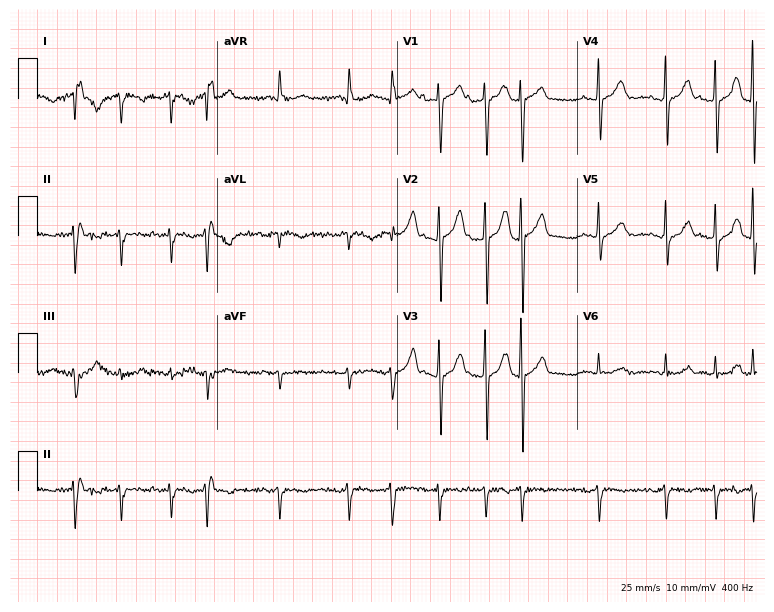
12-lead ECG (7.3-second recording at 400 Hz) from a 68-year-old man. Screened for six findings — first-degree AV block, right bundle branch block, left bundle branch block, sinus bradycardia, atrial fibrillation, sinus tachycardia — none is recorded. Findings outside these six are not listed.